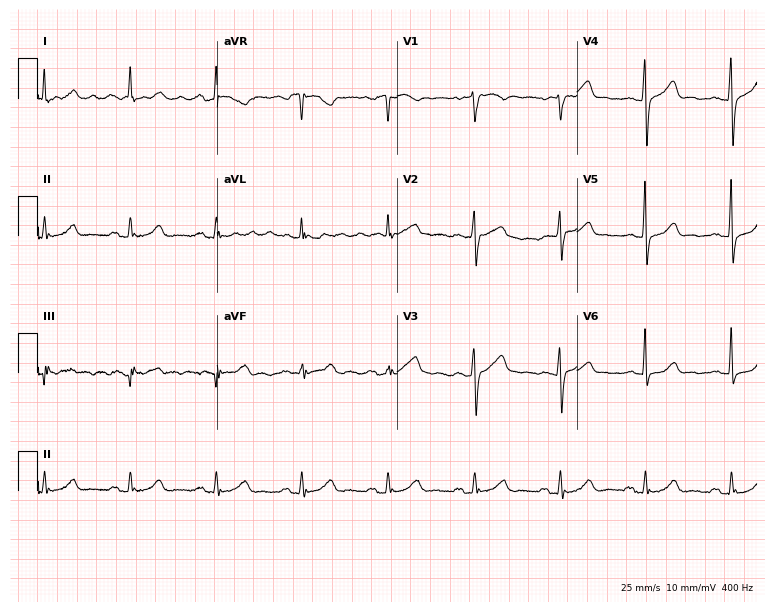
Electrocardiogram, a 71-year-old female. Of the six screened findings (first-degree AV block, right bundle branch block, left bundle branch block, sinus bradycardia, atrial fibrillation, sinus tachycardia), none is recorded. Findings outside these six are not listed.